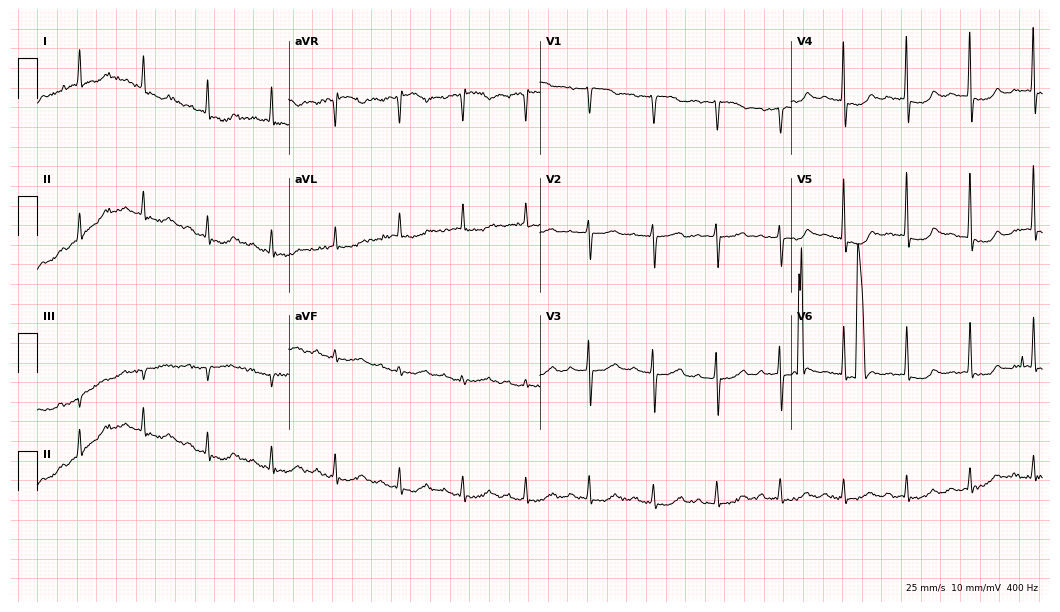
Standard 12-lead ECG recorded from a 77-year-old woman (10.2-second recording at 400 Hz). None of these six findings is recorded: first-degree AV block, right bundle branch block (RBBB), left bundle branch block (LBBB), sinus bradycardia, atrial fibrillation (AF), sinus tachycardia.